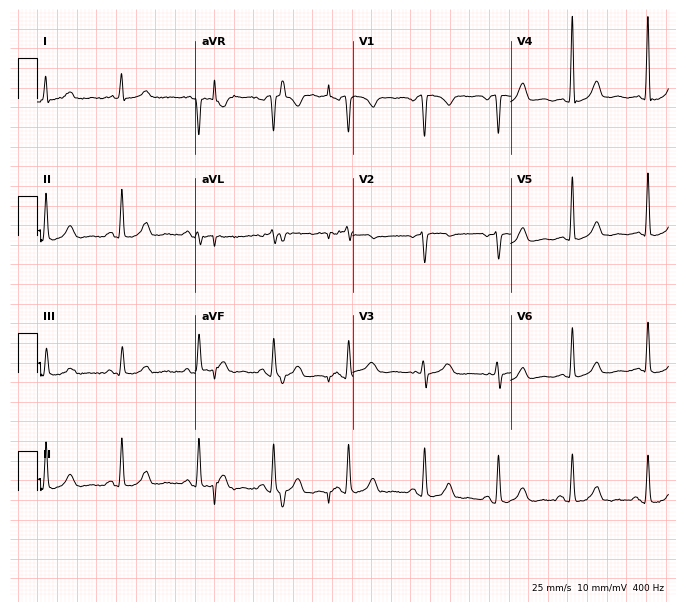
ECG — a female, 35 years old. Labelled as a normal ECG.